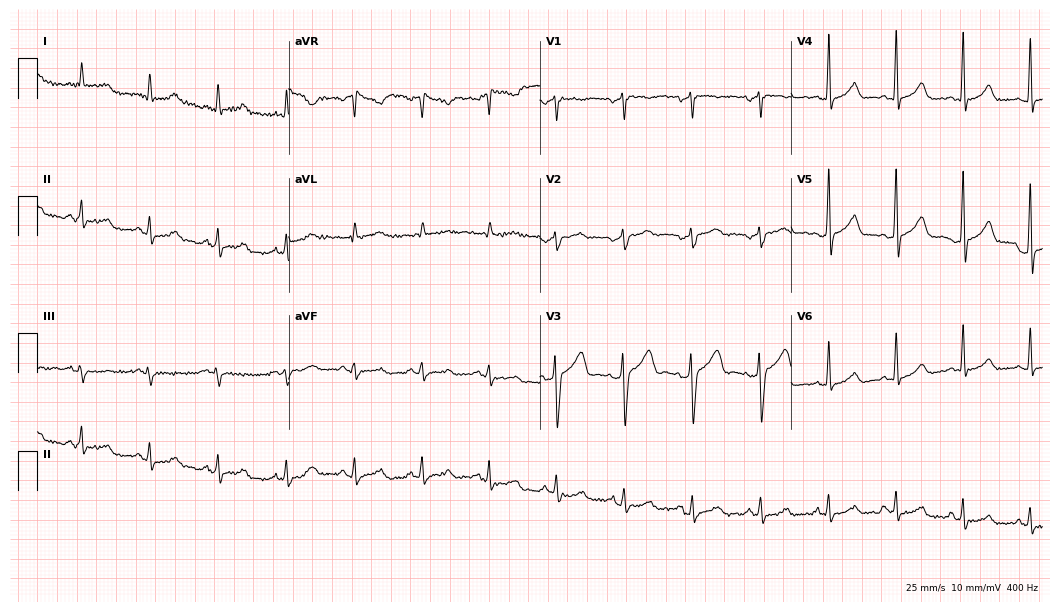
12-lead ECG from a 30-year-old man. Labelled as a normal ECG.